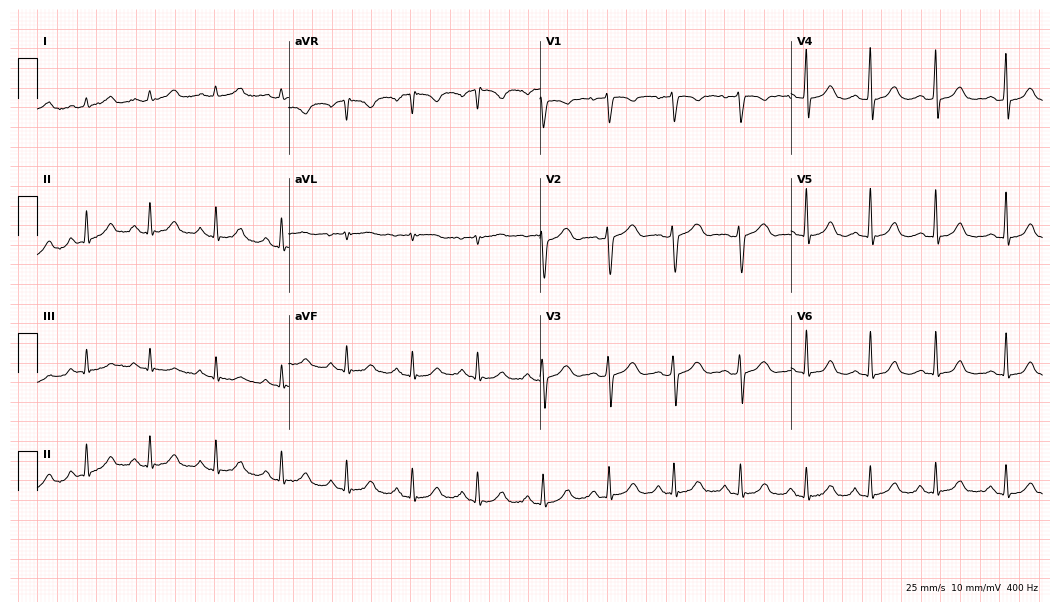
Resting 12-lead electrocardiogram. Patient: a 34-year-old female. Read as a normal ECG.